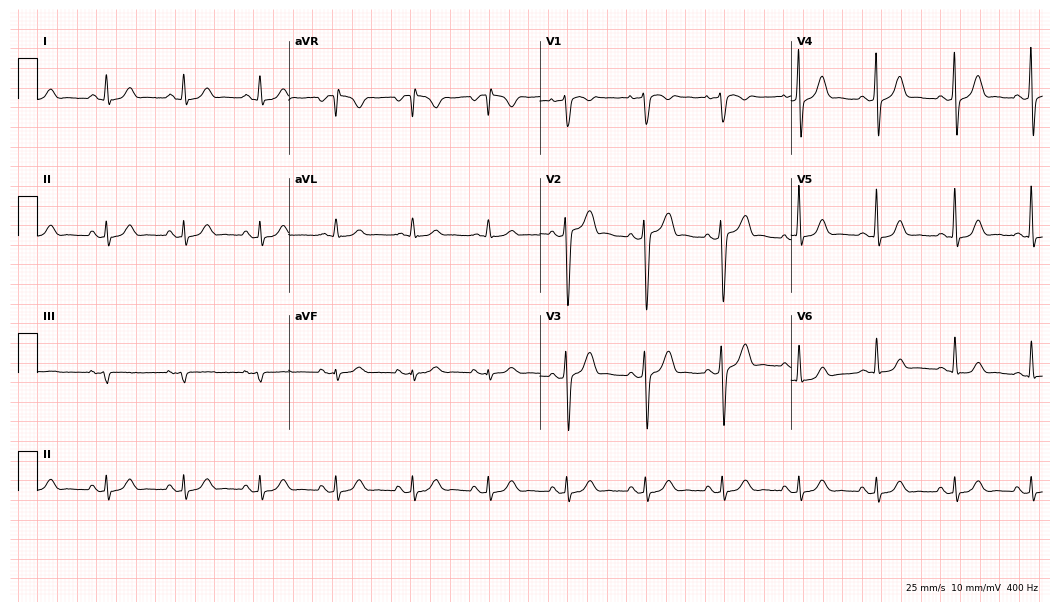
Electrocardiogram (10.2-second recording at 400 Hz), a 27-year-old male. Of the six screened findings (first-degree AV block, right bundle branch block (RBBB), left bundle branch block (LBBB), sinus bradycardia, atrial fibrillation (AF), sinus tachycardia), none is recorded.